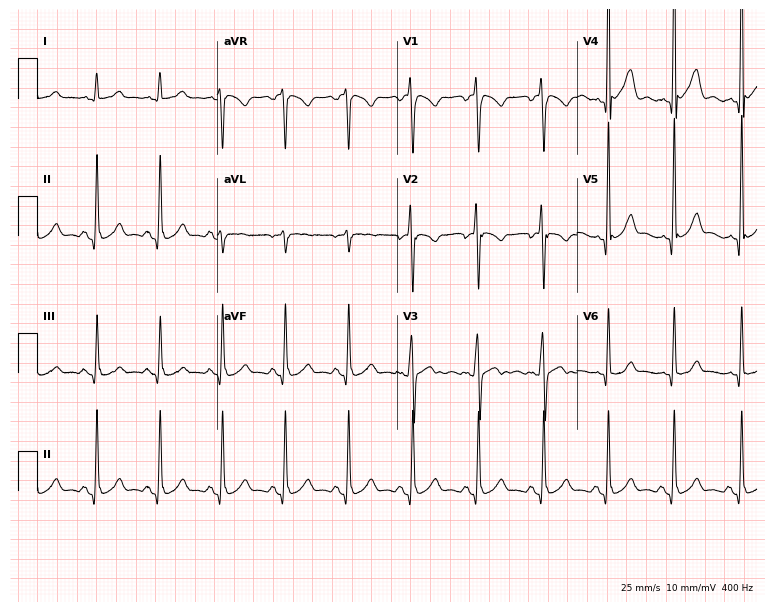
Standard 12-lead ECG recorded from a 28-year-old male patient (7.3-second recording at 400 Hz). Read as a normal ECG.